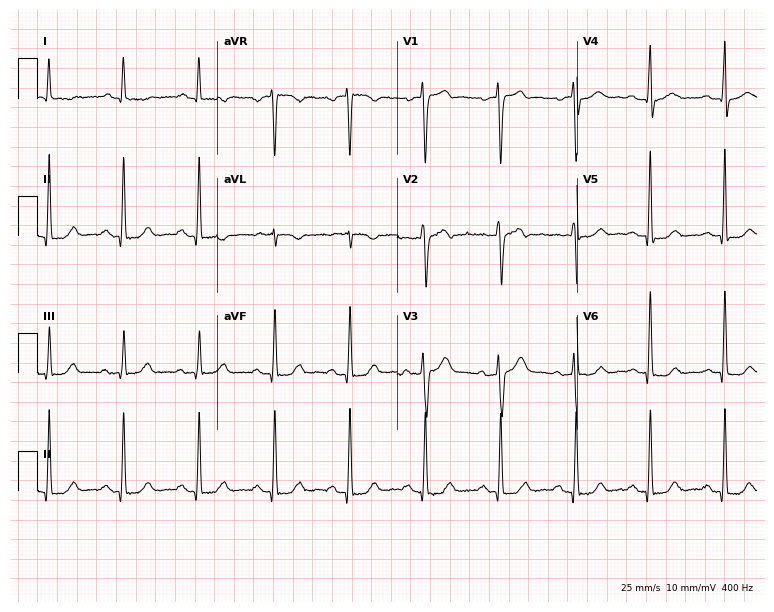
12-lead ECG (7.3-second recording at 400 Hz) from a 53-year-old male patient. Labelled as a normal ECG.